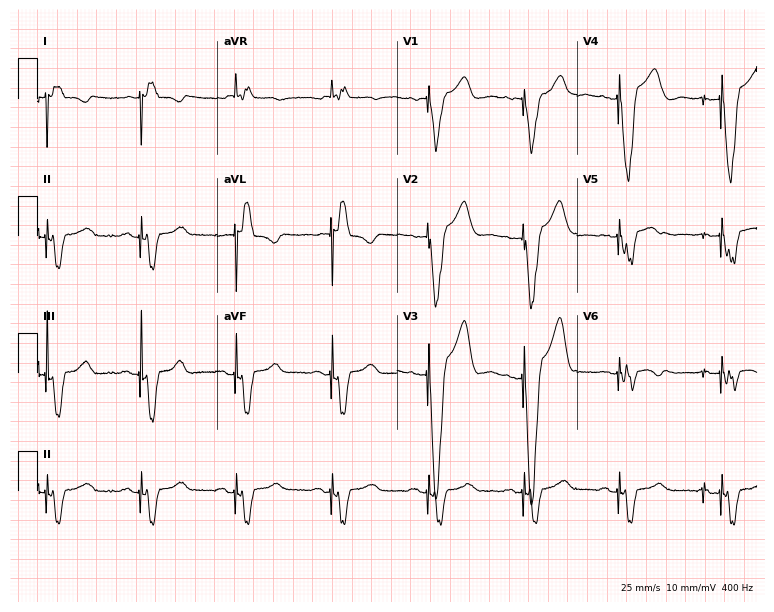
12-lead ECG from a 70-year-old male patient (7.3-second recording at 400 Hz). No first-degree AV block, right bundle branch block (RBBB), left bundle branch block (LBBB), sinus bradycardia, atrial fibrillation (AF) or sinus tachycardia recorded for this tracing.